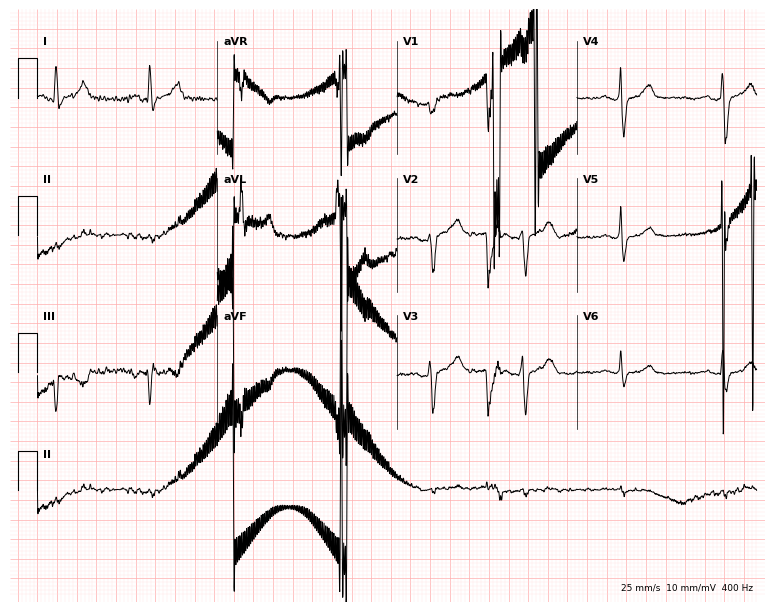
ECG (7.3-second recording at 400 Hz) — a 44-year-old male. Screened for six findings — first-degree AV block, right bundle branch block, left bundle branch block, sinus bradycardia, atrial fibrillation, sinus tachycardia — none is recorded. Only these six findings were labelled.